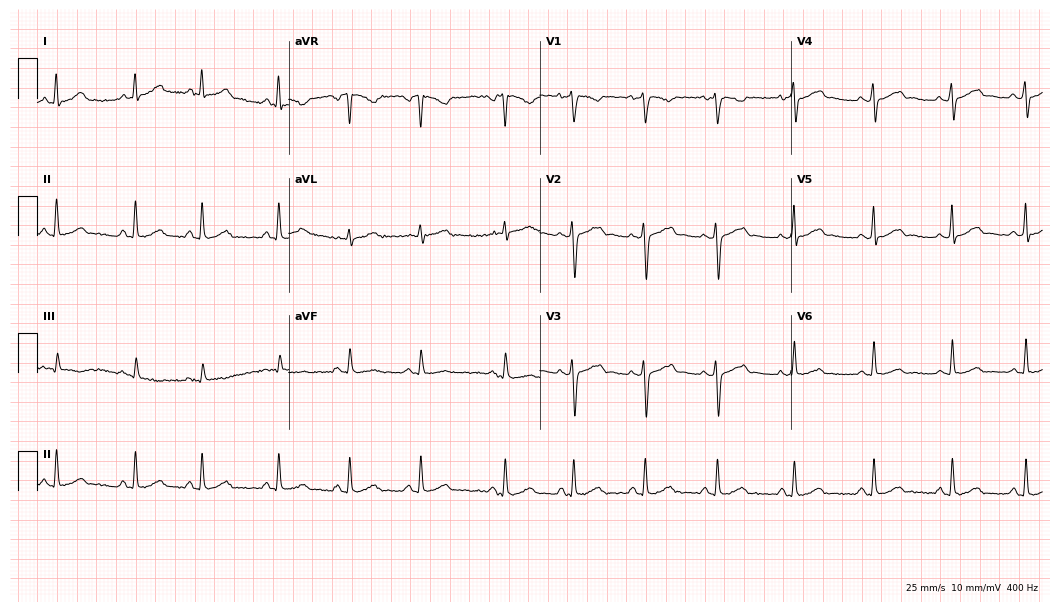
12-lead ECG from a 21-year-old woman. Labelled as a normal ECG.